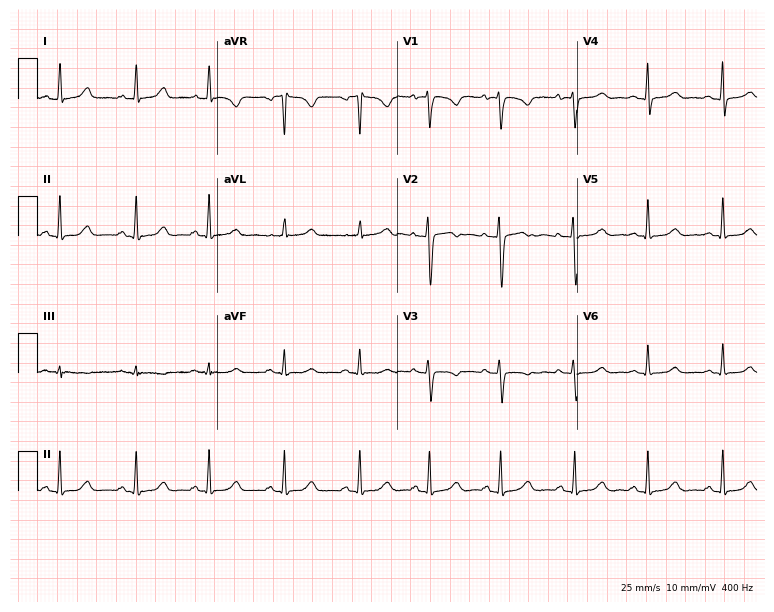
Electrocardiogram (7.3-second recording at 400 Hz), a 24-year-old woman. Overall reading on record: normal ECG.